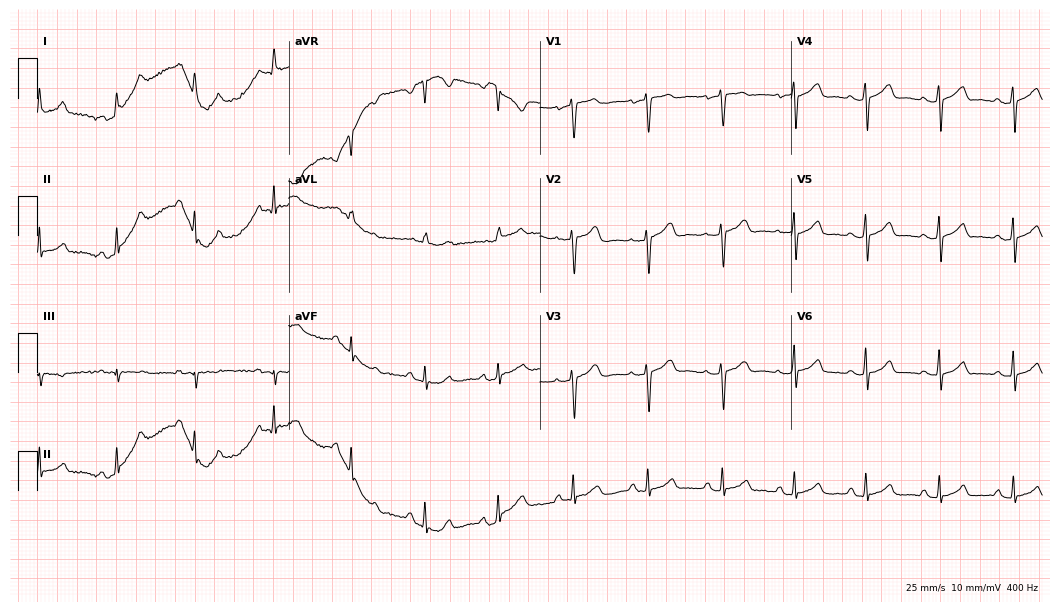
Resting 12-lead electrocardiogram. Patient: a female, 29 years old. Read as a normal ECG.